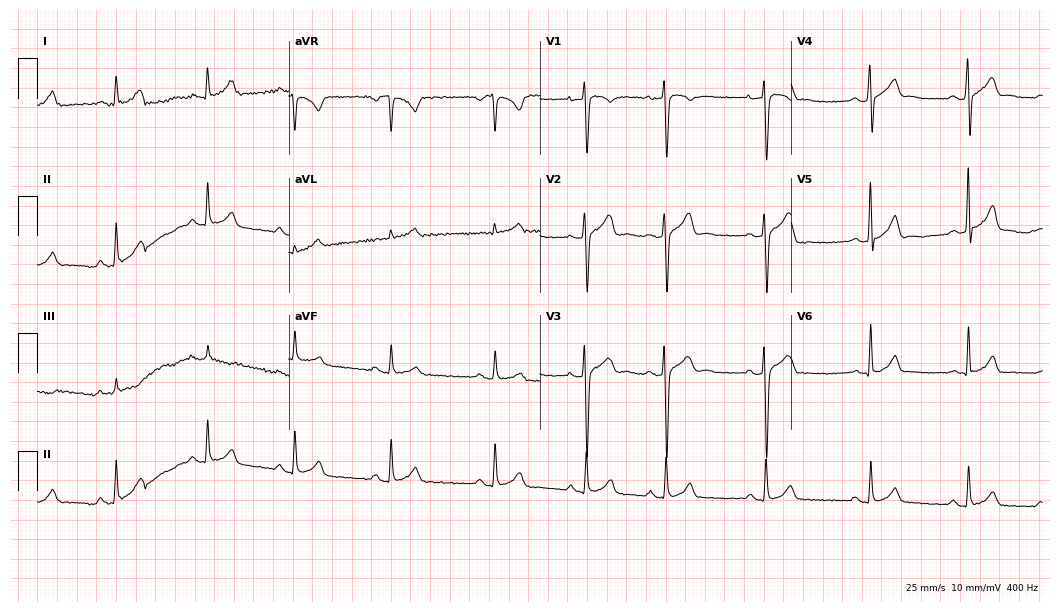
Resting 12-lead electrocardiogram (10.2-second recording at 400 Hz). Patient: an 18-year-old male. None of these six findings is recorded: first-degree AV block, right bundle branch block, left bundle branch block, sinus bradycardia, atrial fibrillation, sinus tachycardia. Other findings, if any, are not listed.